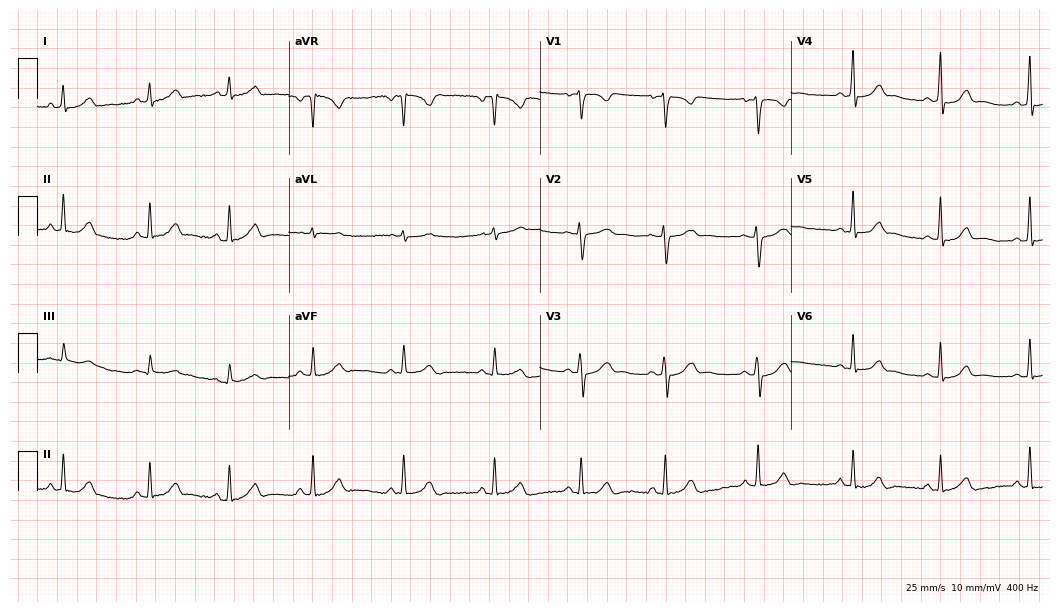
Electrocardiogram, a 41-year-old woman. Overall reading on record: normal ECG.